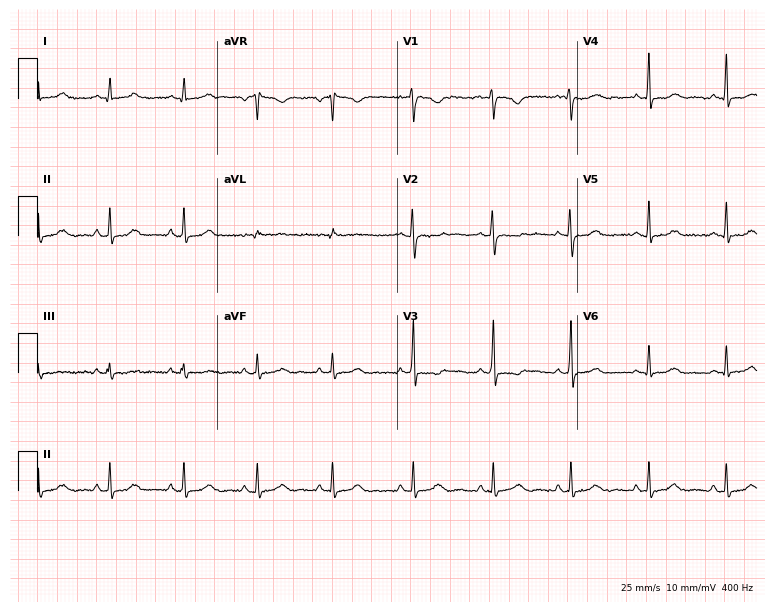
ECG (7.3-second recording at 400 Hz) — a 19-year-old female. Labelled as a normal ECG.